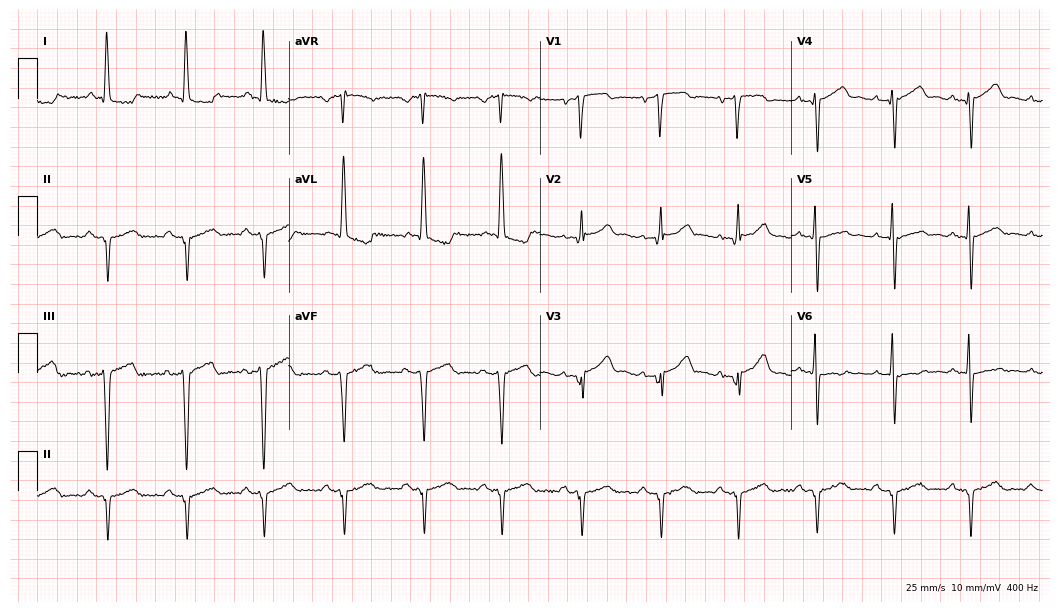
Resting 12-lead electrocardiogram. Patient: a 60-year-old male. None of these six findings is recorded: first-degree AV block, right bundle branch block, left bundle branch block, sinus bradycardia, atrial fibrillation, sinus tachycardia.